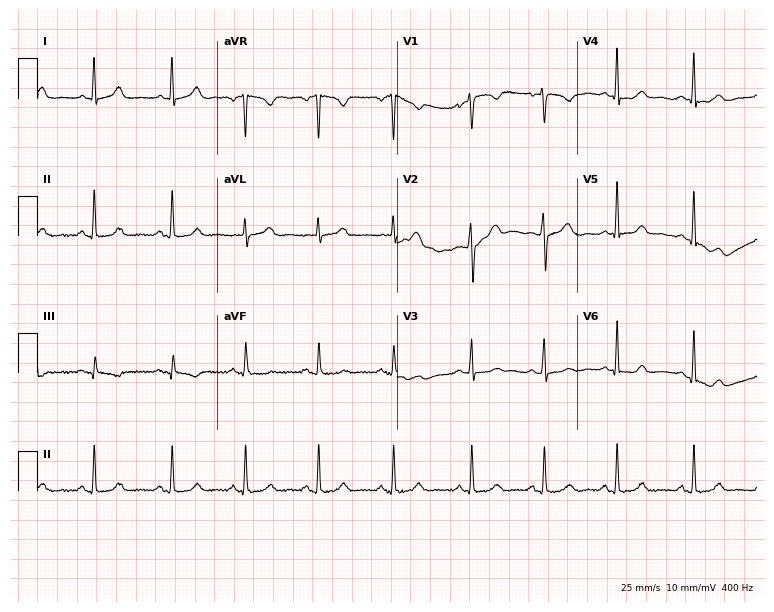
Resting 12-lead electrocardiogram (7.3-second recording at 400 Hz). Patient: a female, 32 years old. Read as a normal ECG.